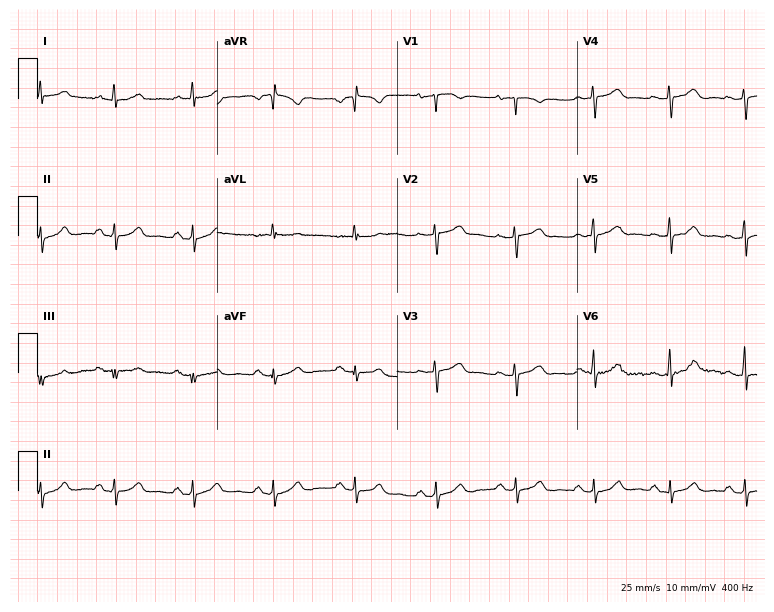
Resting 12-lead electrocardiogram. Patient: a 49-year-old woman. None of these six findings is recorded: first-degree AV block, right bundle branch block, left bundle branch block, sinus bradycardia, atrial fibrillation, sinus tachycardia.